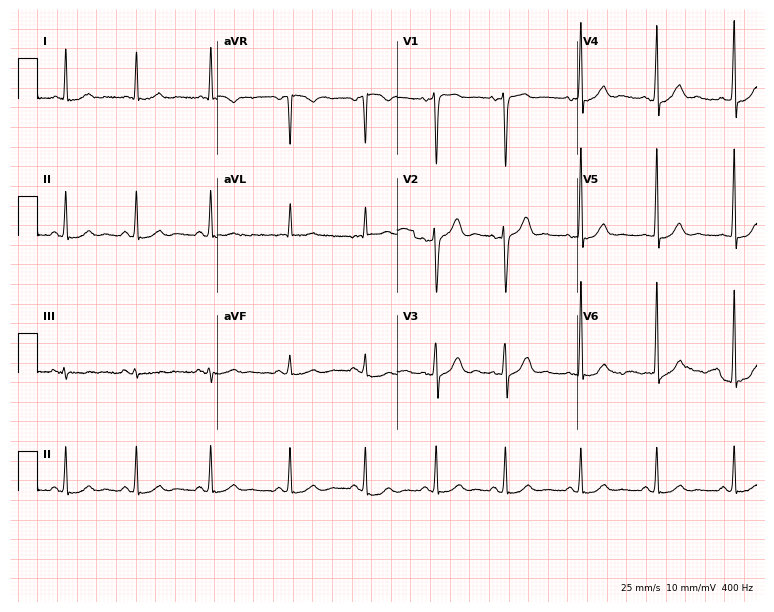
Resting 12-lead electrocardiogram. Patient: a 34-year-old woman. None of these six findings is recorded: first-degree AV block, right bundle branch block (RBBB), left bundle branch block (LBBB), sinus bradycardia, atrial fibrillation (AF), sinus tachycardia. Other findings, if any, are not listed.